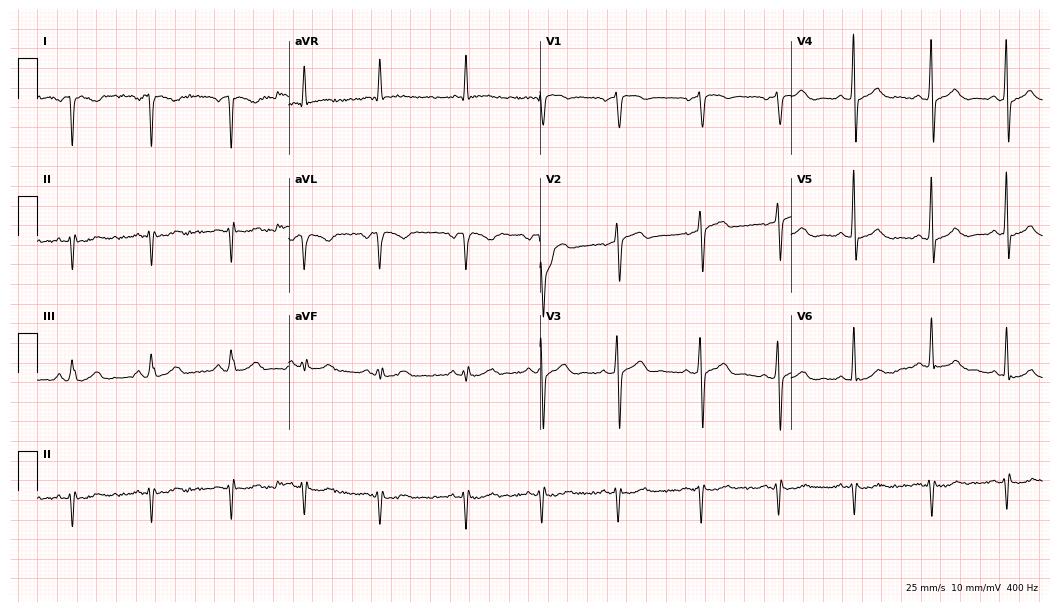
ECG — a male, 53 years old. Screened for six findings — first-degree AV block, right bundle branch block, left bundle branch block, sinus bradycardia, atrial fibrillation, sinus tachycardia — none is recorded.